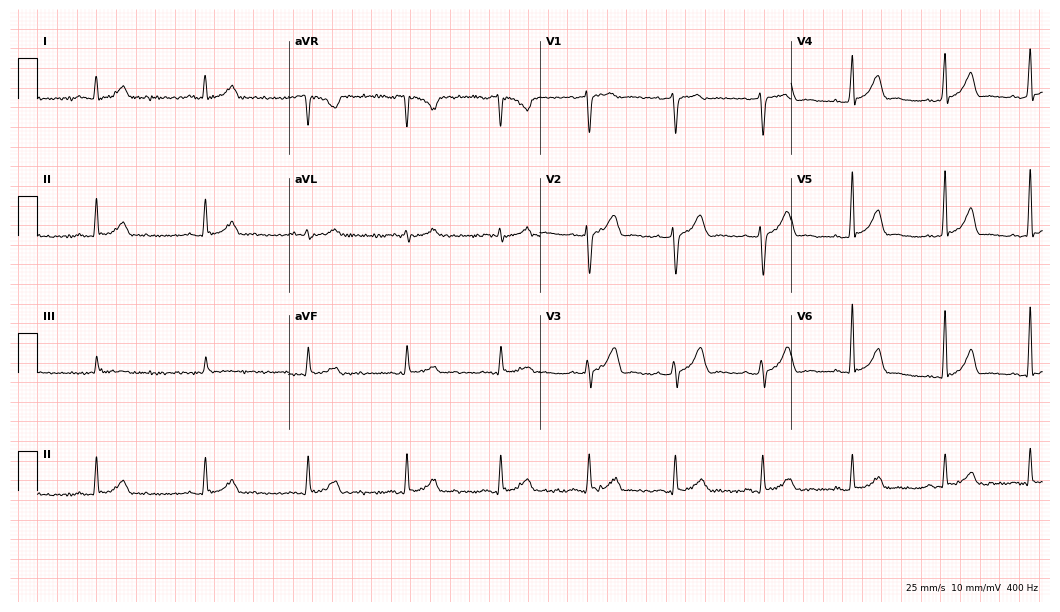
12-lead ECG from a man, 29 years old. No first-degree AV block, right bundle branch block, left bundle branch block, sinus bradycardia, atrial fibrillation or sinus tachycardia recorded for this tracing.